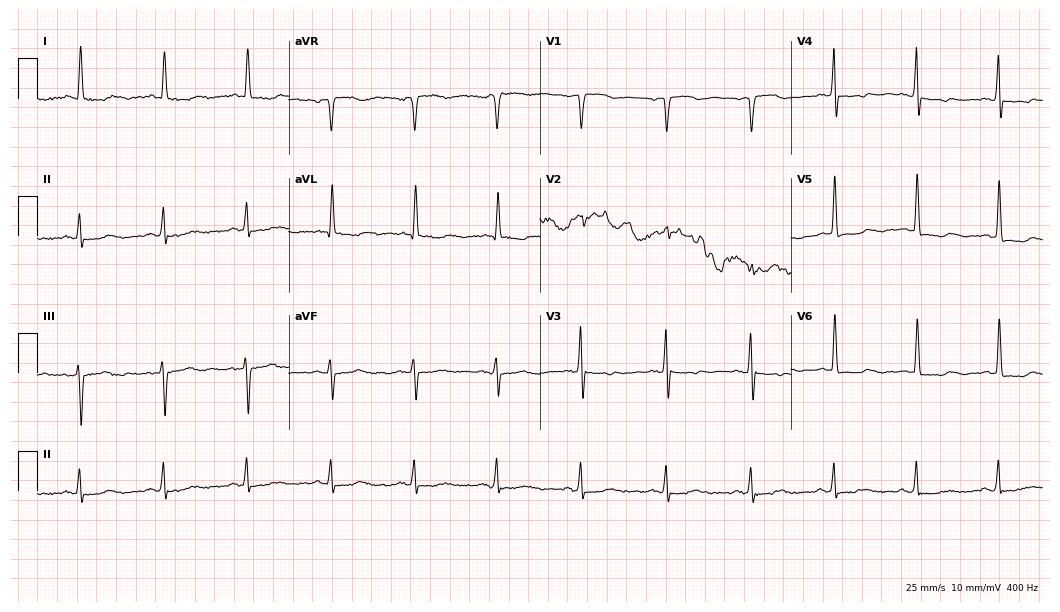
Standard 12-lead ECG recorded from a 72-year-old woman. None of these six findings is recorded: first-degree AV block, right bundle branch block, left bundle branch block, sinus bradycardia, atrial fibrillation, sinus tachycardia. Other findings, if any, are not listed.